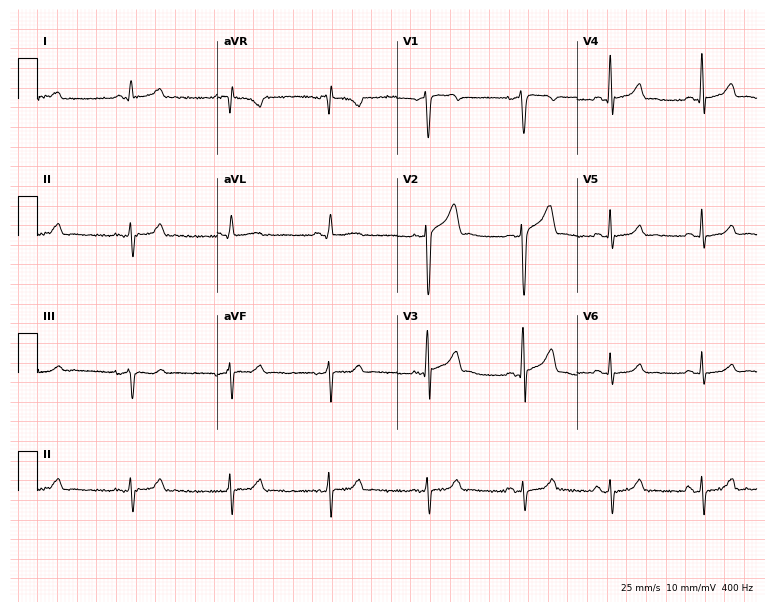
12-lead ECG from a 28-year-old male. No first-degree AV block, right bundle branch block, left bundle branch block, sinus bradycardia, atrial fibrillation or sinus tachycardia recorded for this tracing.